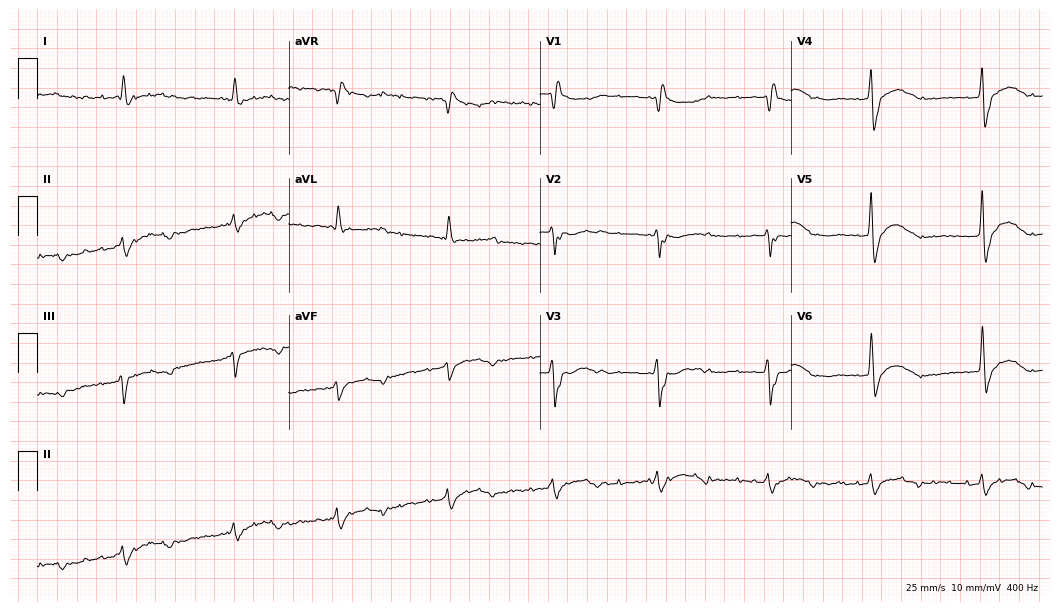
12-lead ECG from an 86-year-old male patient. No first-degree AV block, right bundle branch block, left bundle branch block, sinus bradycardia, atrial fibrillation or sinus tachycardia recorded for this tracing. Only these six findings were labelled.